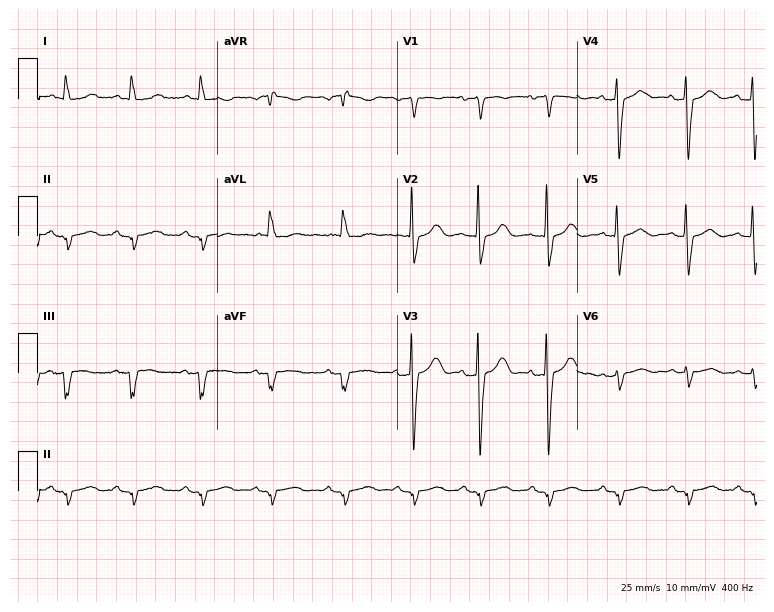
12-lead ECG from a 69-year-old female (7.3-second recording at 400 Hz). No first-degree AV block, right bundle branch block, left bundle branch block, sinus bradycardia, atrial fibrillation or sinus tachycardia recorded for this tracing.